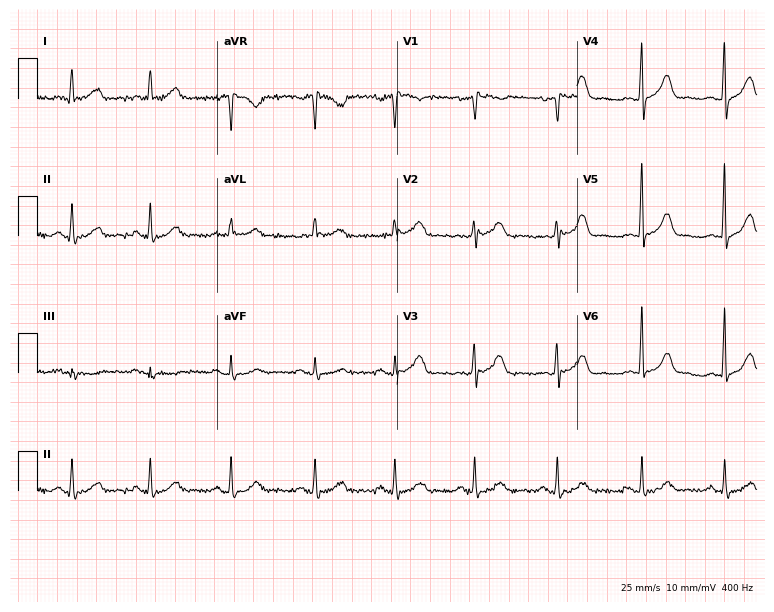
Electrocardiogram (7.3-second recording at 400 Hz), a 57-year-old woman. Overall reading on record: normal ECG.